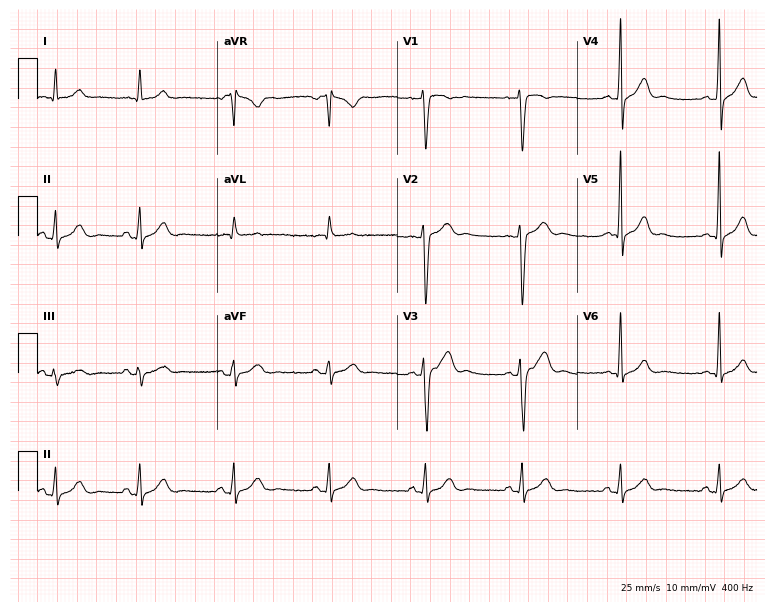
ECG — a 50-year-old man. Labelled as a normal ECG.